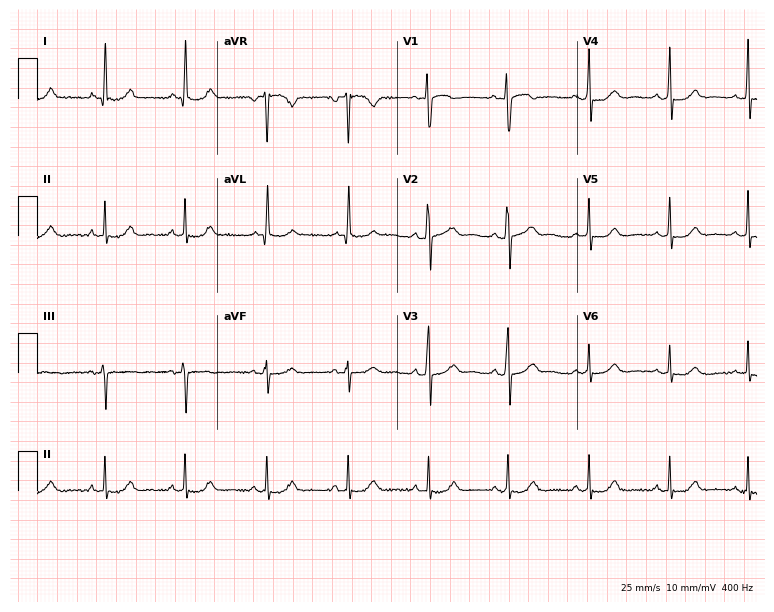
ECG (7.3-second recording at 400 Hz) — a 49-year-old female. Labelled as a normal ECG.